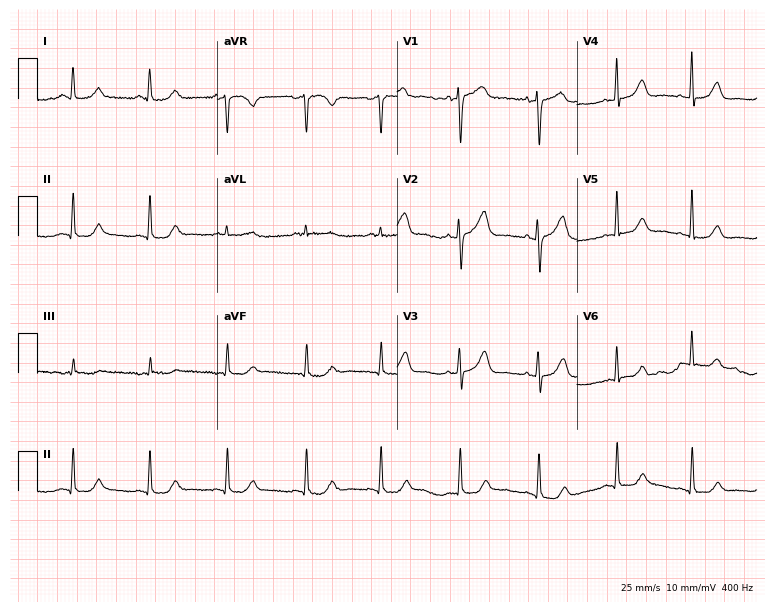
ECG — a 60-year-old female. Labelled as a normal ECG.